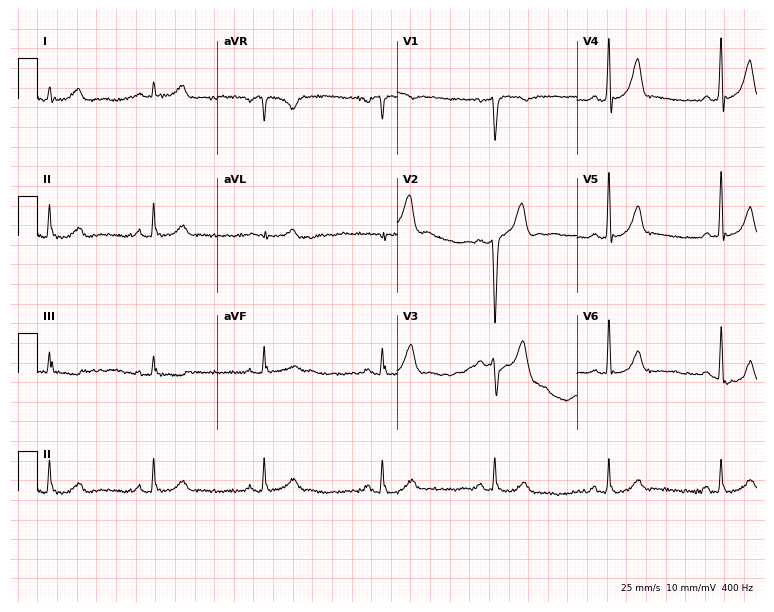
Electrocardiogram, a male, 48 years old. Of the six screened findings (first-degree AV block, right bundle branch block, left bundle branch block, sinus bradycardia, atrial fibrillation, sinus tachycardia), none is recorded. Only these six findings were labelled.